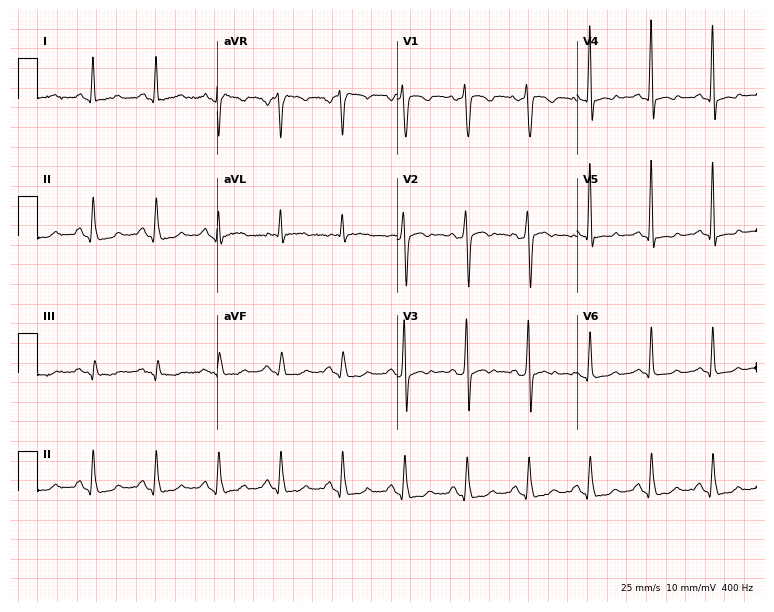
Electrocardiogram (7.3-second recording at 400 Hz), a 67-year-old female patient. Of the six screened findings (first-degree AV block, right bundle branch block (RBBB), left bundle branch block (LBBB), sinus bradycardia, atrial fibrillation (AF), sinus tachycardia), none is recorded.